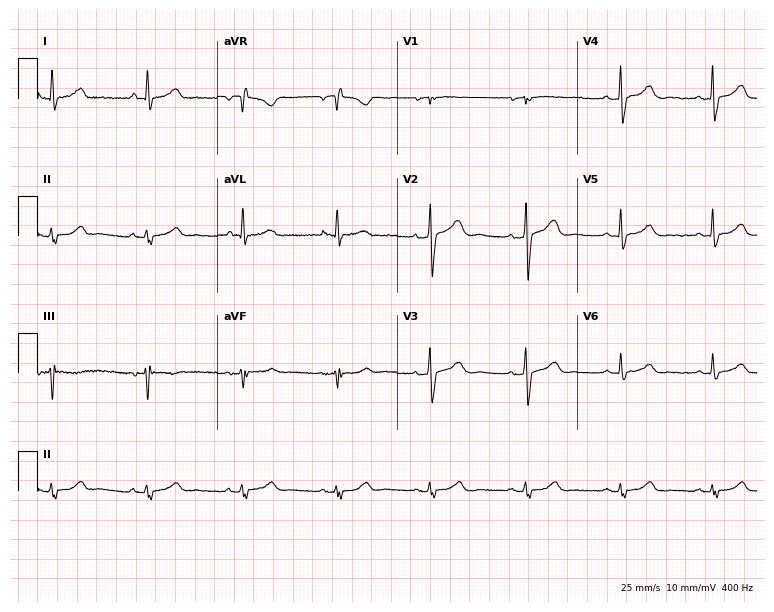
Electrocardiogram (7.3-second recording at 400 Hz), a 73-year-old woman. Of the six screened findings (first-degree AV block, right bundle branch block, left bundle branch block, sinus bradycardia, atrial fibrillation, sinus tachycardia), none is recorded. Only these six findings were labelled.